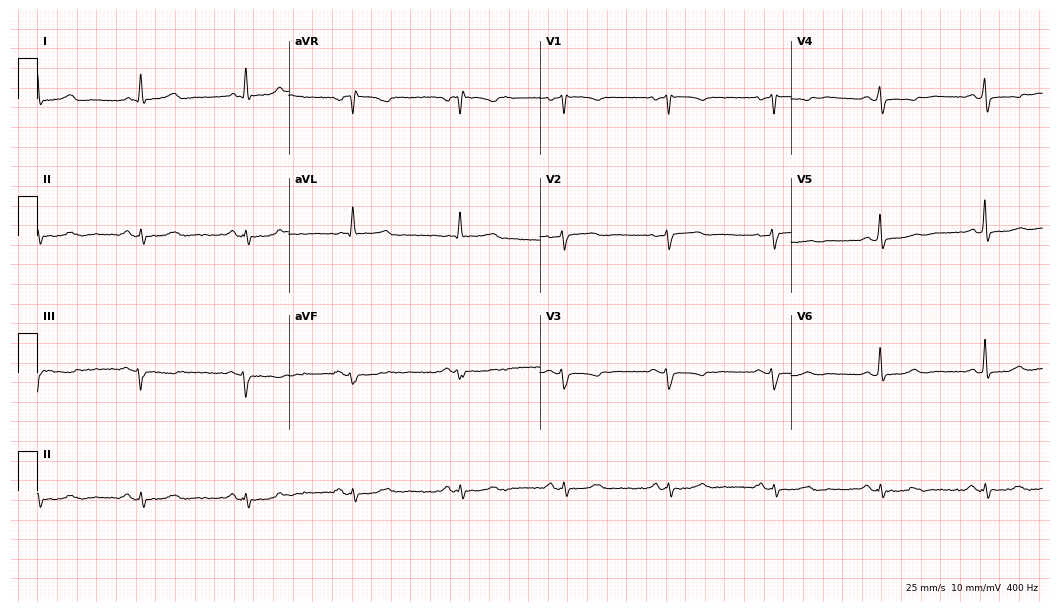
ECG — a 53-year-old female. Screened for six findings — first-degree AV block, right bundle branch block, left bundle branch block, sinus bradycardia, atrial fibrillation, sinus tachycardia — none is recorded. Findings outside these six are not listed.